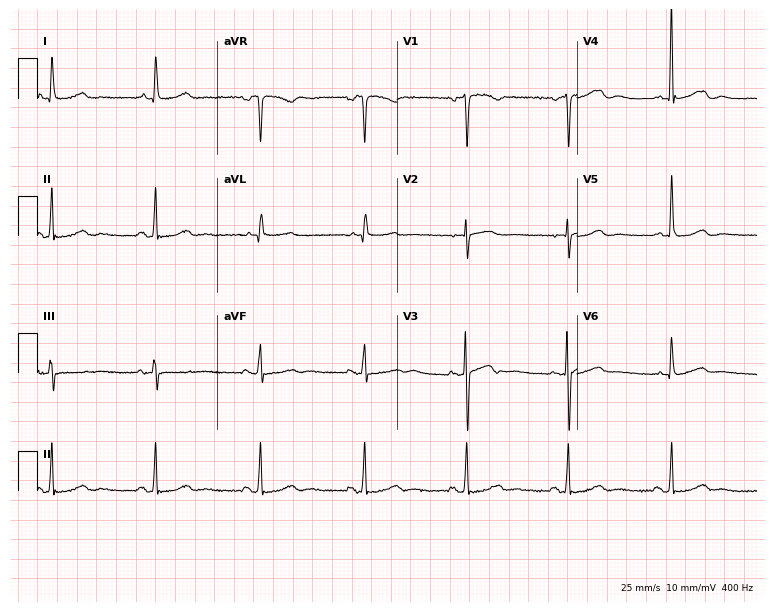
ECG (7.3-second recording at 400 Hz) — a female patient, 68 years old. Screened for six findings — first-degree AV block, right bundle branch block, left bundle branch block, sinus bradycardia, atrial fibrillation, sinus tachycardia — none is recorded.